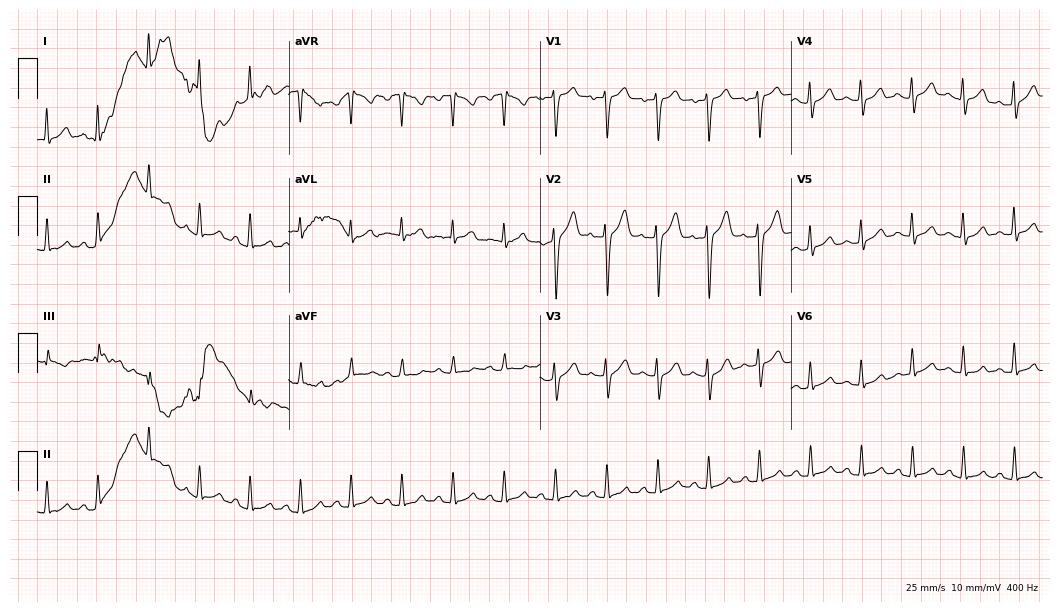
12-lead ECG (10.2-second recording at 400 Hz) from a 35-year-old male patient. Findings include sinus tachycardia (a sinus rate of 100 beats per minute or more).